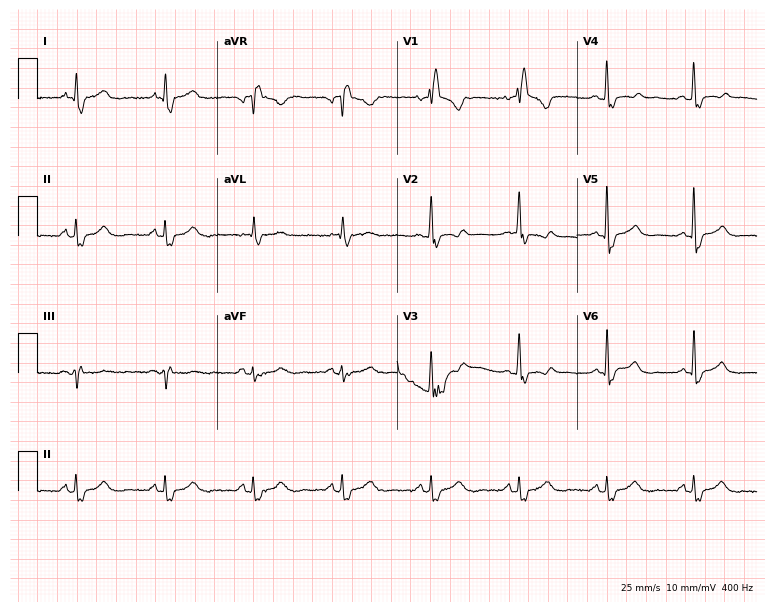
12-lead ECG (7.3-second recording at 400 Hz) from a 57-year-old woman. Findings include right bundle branch block (RBBB).